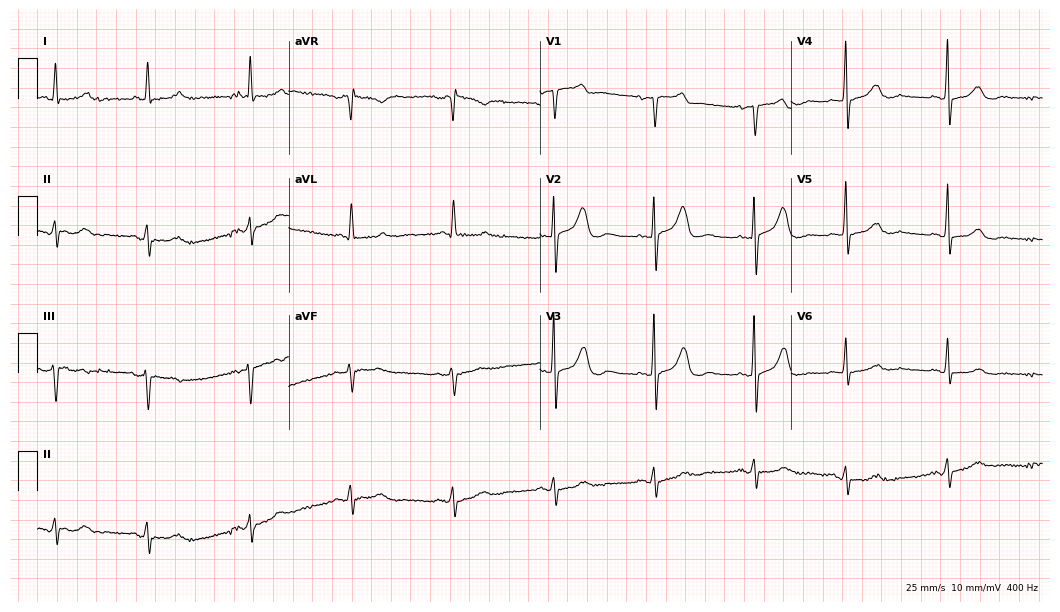
Electrocardiogram, a female patient, 77 years old. Of the six screened findings (first-degree AV block, right bundle branch block, left bundle branch block, sinus bradycardia, atrial fibrillation, sinus tachycardia), none is recorded.